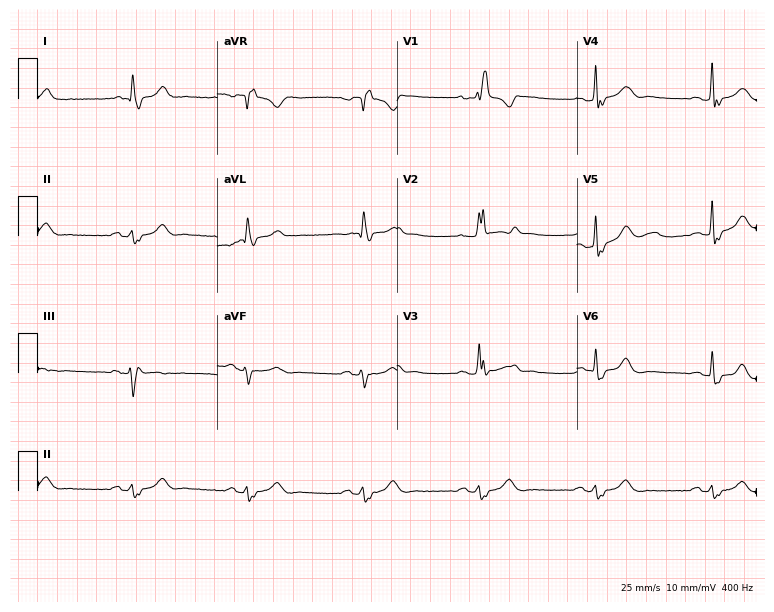
Resting 12-lead electrocardiogram. Patient: a male, 67 years old. The tracing shows right bundle branch block.